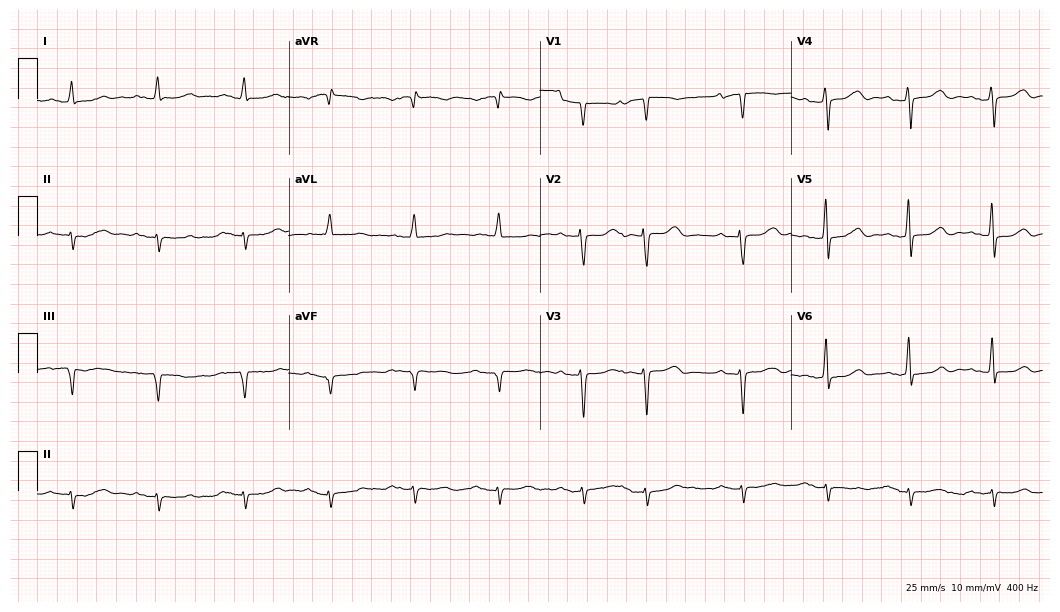
Electrocardiogram (10.2-second recording at 400 Hz), a 73-year-old female. Of the six screened findings (first-degree AV block, right bundle branch block, left bundle branch block, sinus bradycardia, atrial fibrillation, sinus tachycardia), none is recorded.